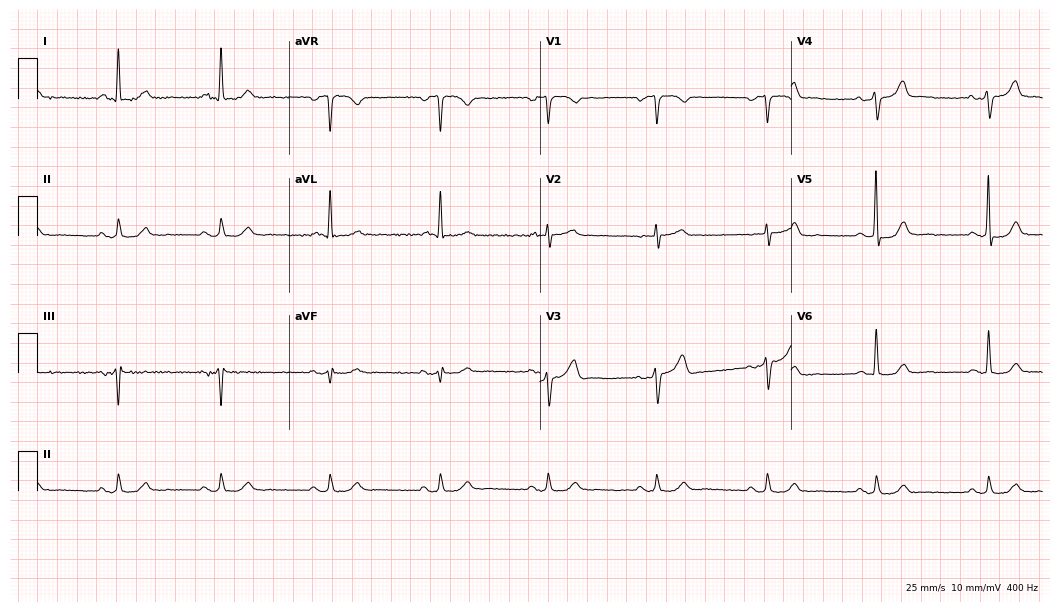
ECG (10.2-second recording at 400 Hz) — a 66-year-old male patient. Labelled as a normal ECG.